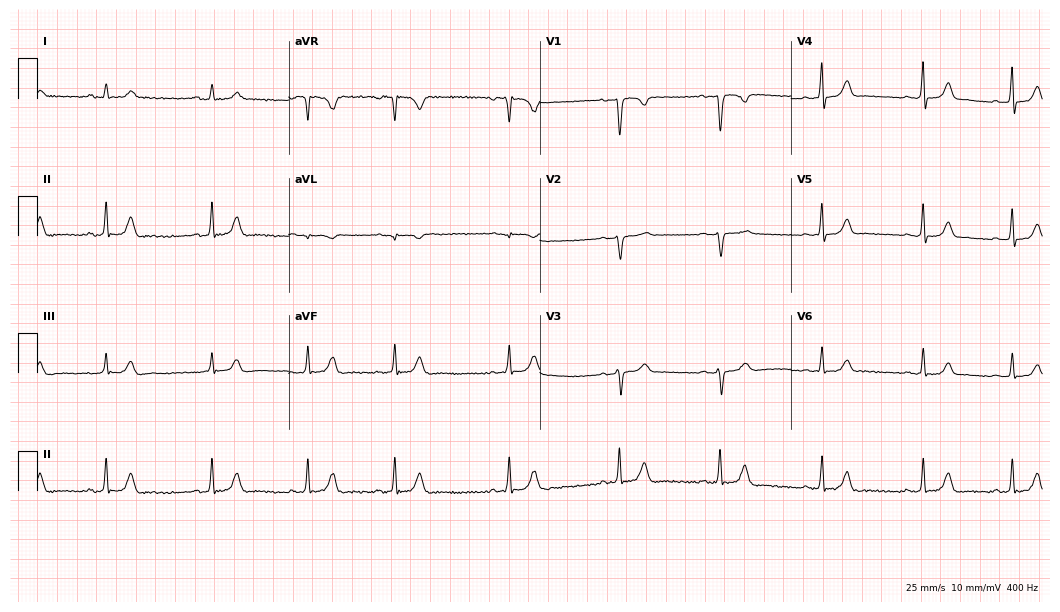
Standard 12-lead ECG recorded from a 22-year-old female. None of these six findings is recorded: first-degree AV block, right bundle branch block (RBBB), left bundle branch block (LBBB), sinus bradycardia, atrial fibrillation (AF), sinus tachycardia. Other findings, if any, are not listed.